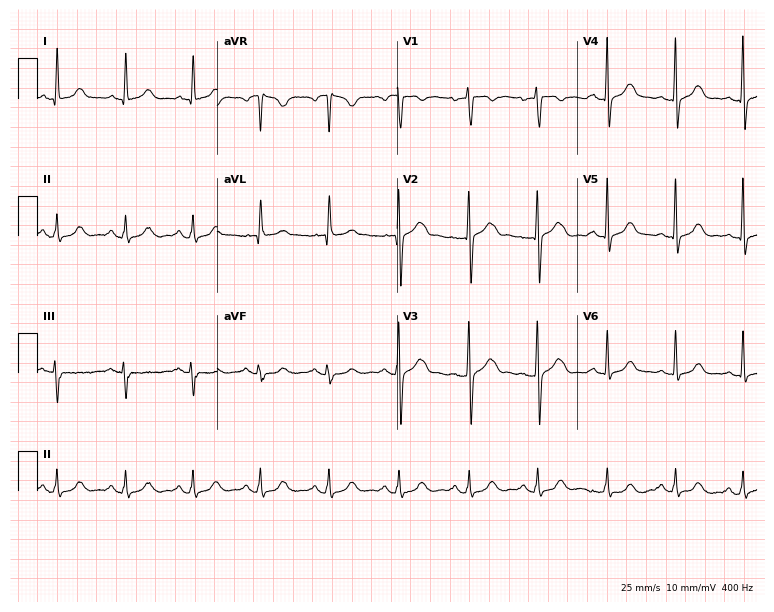
Standard 12-lead ECG recorded from a 54-year-old female patient (7.3-second recording at 400 Hz). None of these six findings is recorded: first-degree AV block, right bundle branch block, left bundle branch block, sinus bradycardia, atrial fibrillation, sinus tachycardia. Other findings, if any, are not listed.